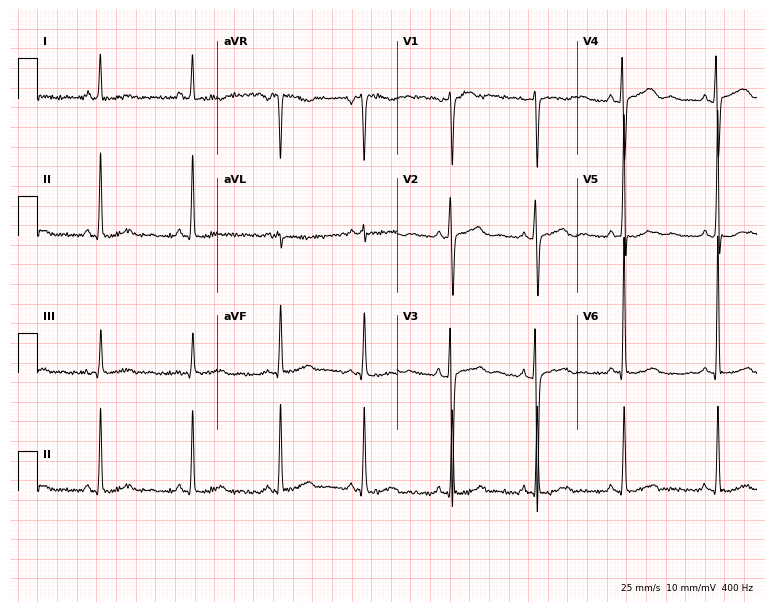
12-lead ECG from a 20-year-old woman (7.3-second recording at 400 Hz). No first-degree AV block, right bundle branch block, left bundle branch block, sinus bradycardia, atrial fibrillation or sinus tachycardia recorded for this tracing. Only these six findings were labelled.